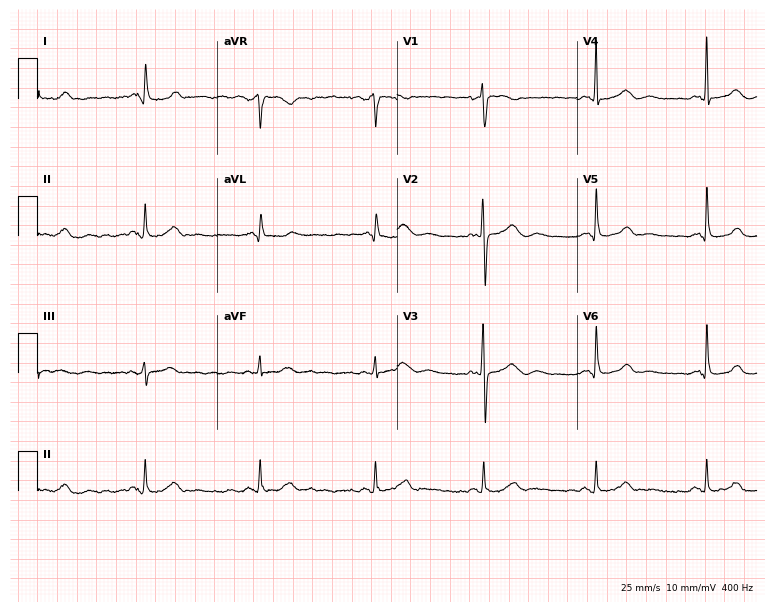
ECG (7.3-second recording at 400 Hz) — a 64-year-old woman. Labelled as a normal ECG.